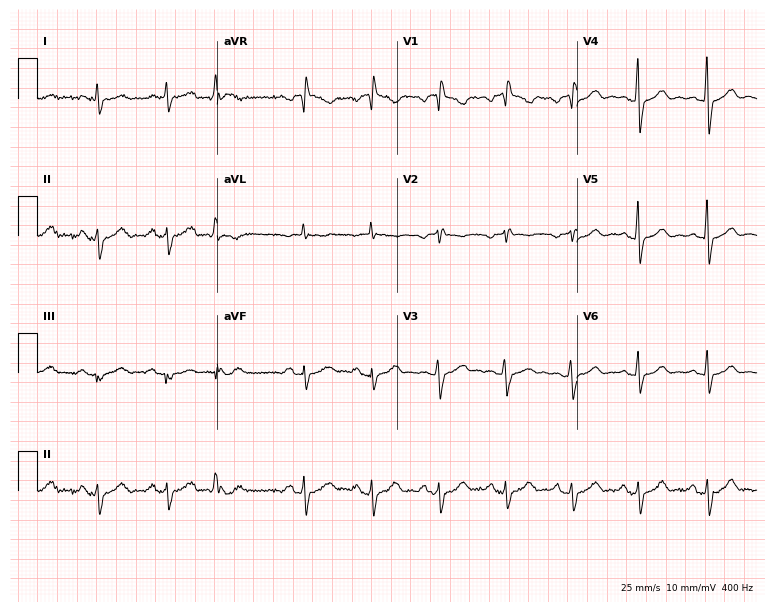
ECG — a male, 55 years old. Screened for six findings — first-degree AV block, right bundle branch block (RBBB), left bundle branch block (LBBB), sinus bradycardia, atrial fibrillation (AF), sinus tachycardia — none is recorded. Findings outside these six are not listed.